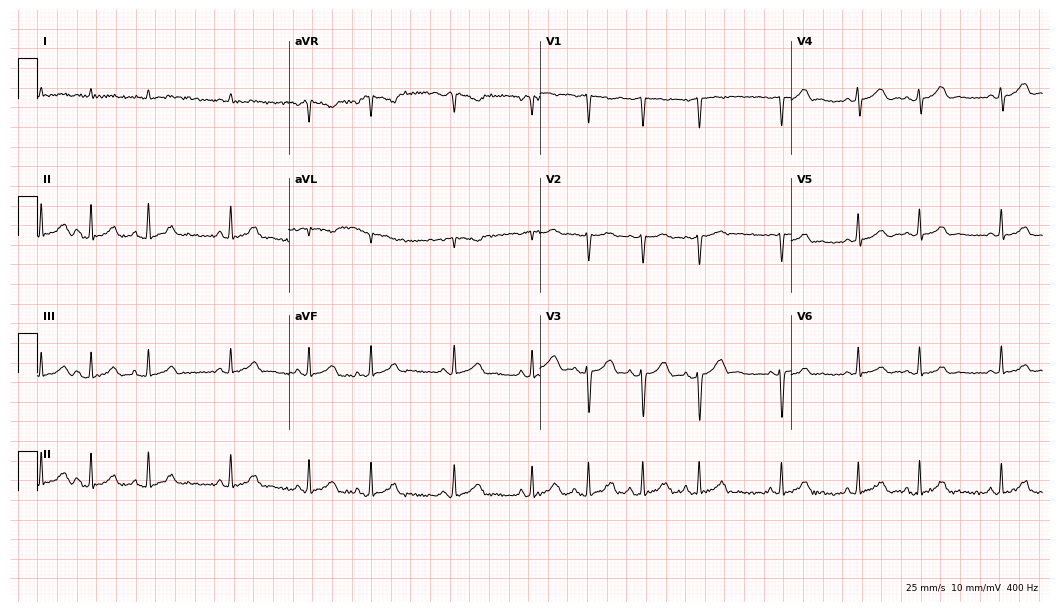
12-lead ECG (10.2-second recording at 400 Hz) from a man, 77 years old. Screened for six findings — first-degree AV block, right bundle branch block (RBBB), left bundle branch block (LBBB), sinus bradycardia, atrial fibrillation (AF), sinus tachycardia — none is recorded. Other findings, if any, are not listed.